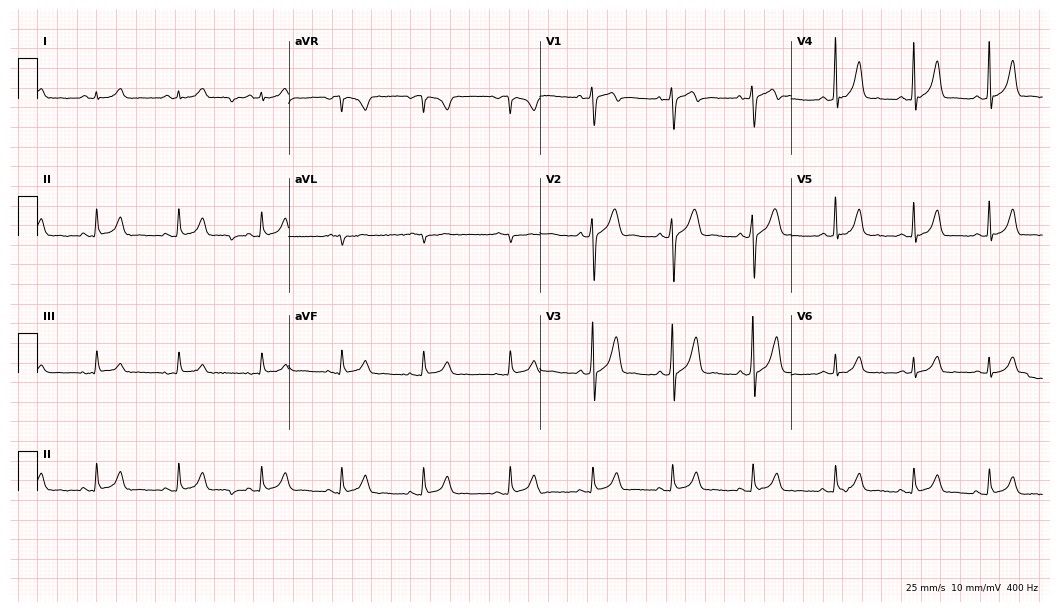
Electrocardiogram, a male patient, 22 years old. Overall reading on record: normal ECG.